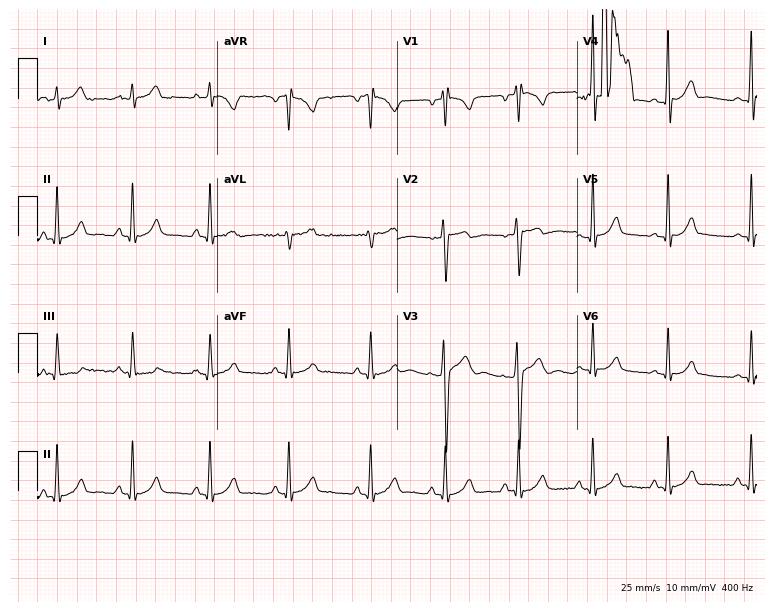
Resting 12-lead electrocardiogram. Patient: an 18-year-old male. None of these six findings is recorded: first-degree AV block, right bundle branch block, left bundle branch block, sinus bradycardia, atrial fibrillation, sinus tachycardia. Other findings, if any, are not listed.